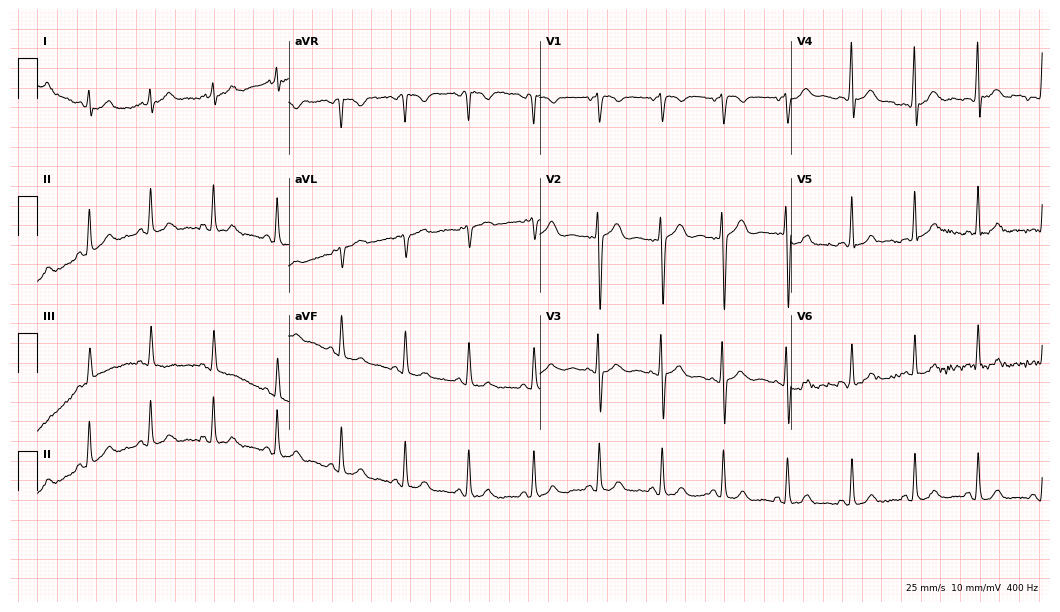
ECG — a 22-year-old male. Labelled as a normal ECG.